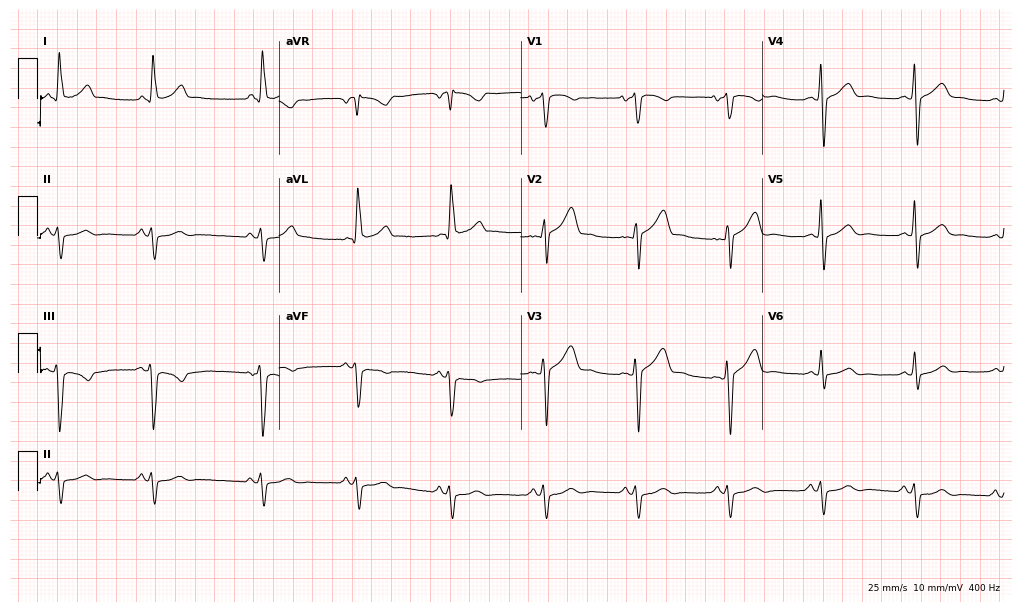
12-lead ECG (9.9-second recording at 400 Hz) from a male patient, 43 years old. Screened for six findings — first-degree AV block, right bundle branch block, left bundle branch block, sinus bradycardia, atrial fibrillation, sinus tachycardia — none is recorded. Other findings, if any, are not listed.